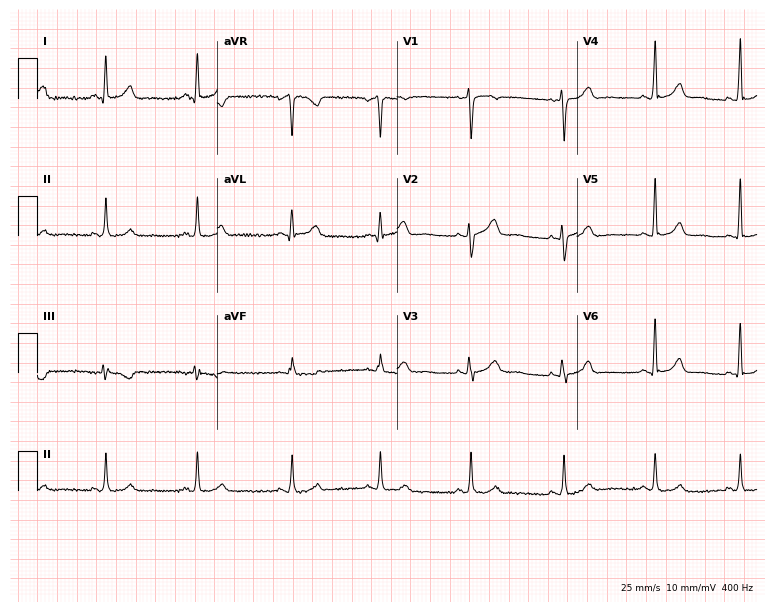
Standard 12-lead ECG recorded from a 40-year-old woman (7.3-second recording at 400 Hz). None of these six findings is recorded: first-degree AV block, right bundle branch block, left bundle branch block, sinus bradycardia, atrial fibrillation, sinus tachycardia. Other findings, if any, are not listed.